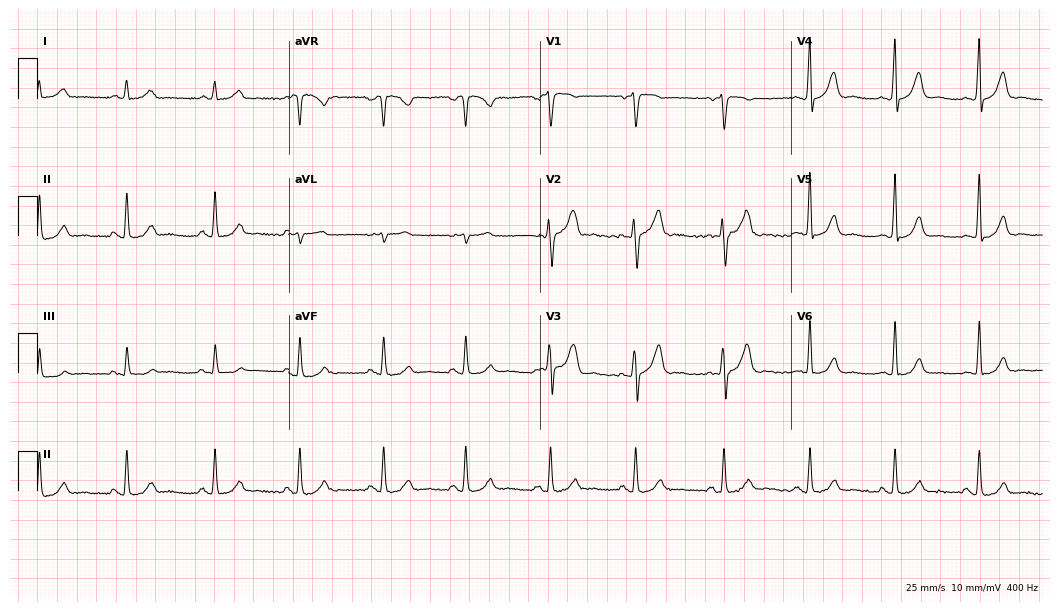
Resting 12-lead electrocardiogram. Patient: a 51-year-old male. Read as a normal ECG.